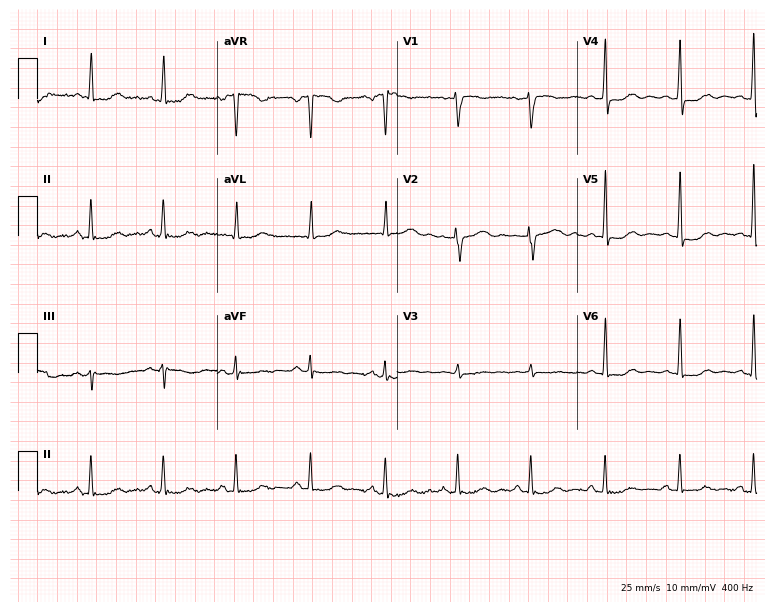
12-lead ECG from a woman, 52 years old. No first-degree AV block, right bundle branch block, left bundle branch block, sinus bradycardia, atrial fibrillation or sinus tachycardia recorded for this tracing. Only these six findings were labelled.